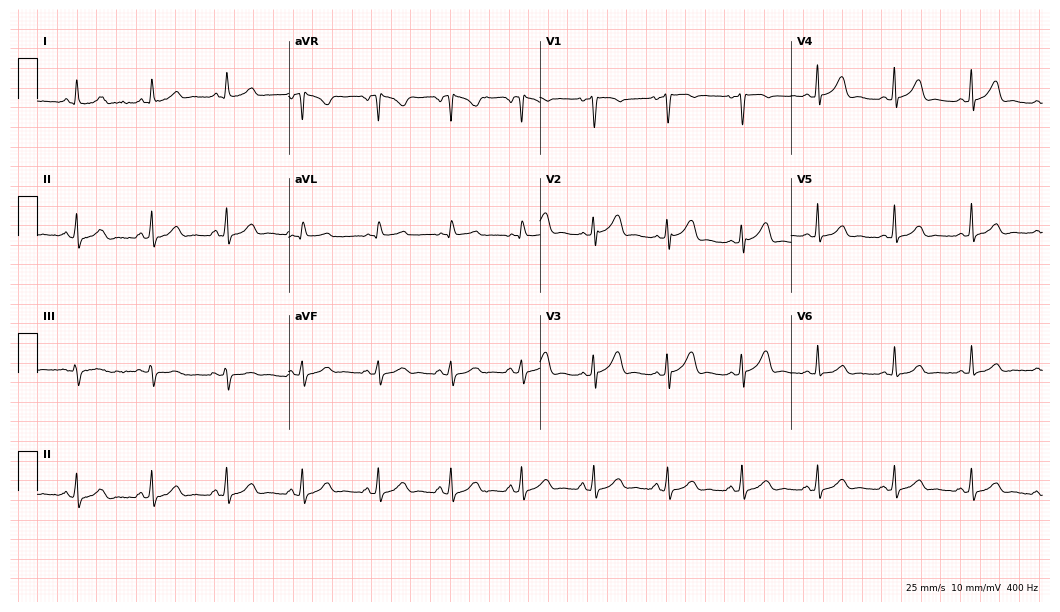
Standard 12-lead ECG recorded from a 49-year-old female patient (10.2-second recording at 400 Hz). Read as a normal ECG.